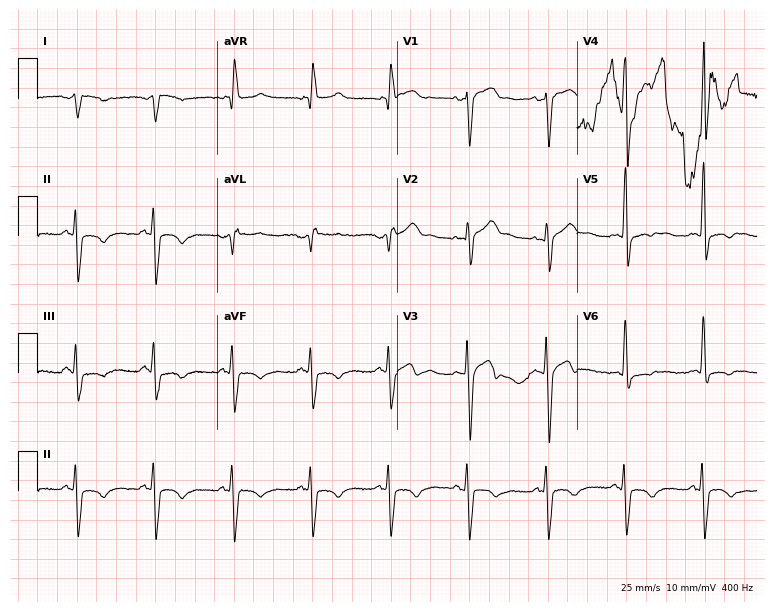
Electrocardiogram, a male patient, 52 years old. Of the six screened findings (first-degree AV block, right bundle branch block, left bundle branch block, sinus bradycardia, atrial fibrillation, sinus tachycardia), none is recorded. Only these six findings were labelled.